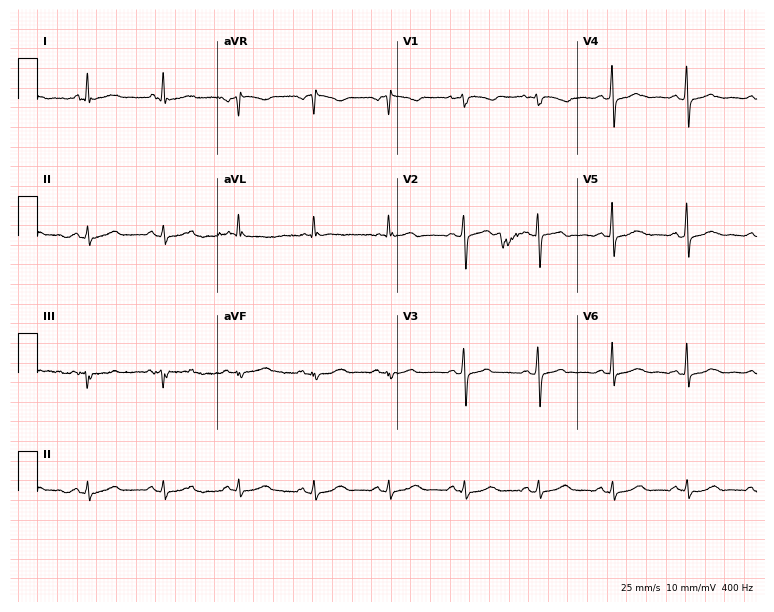
Standard 12-lead ECG recorded from a 56-year-old female patient. Read as a normal ECG.